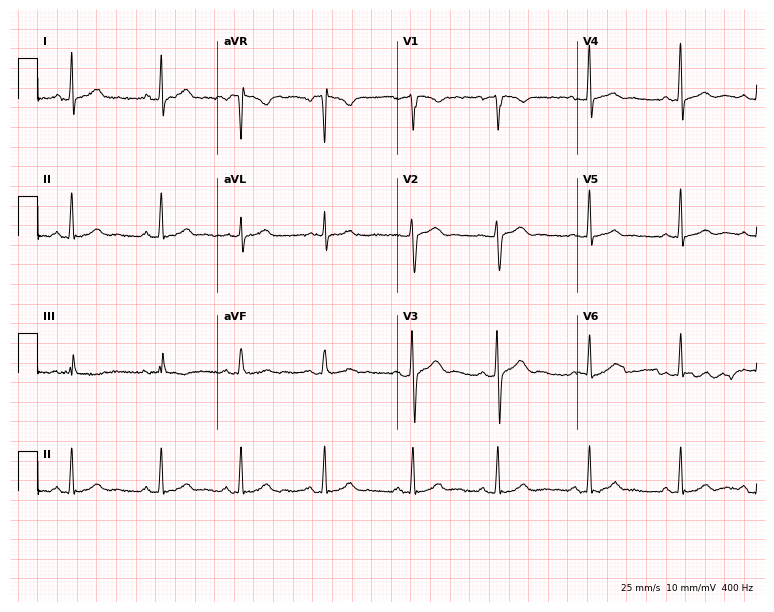
Resting 12-lead electrocardiogram. Patient: a female, 24 years old. Read as a normal ECG.